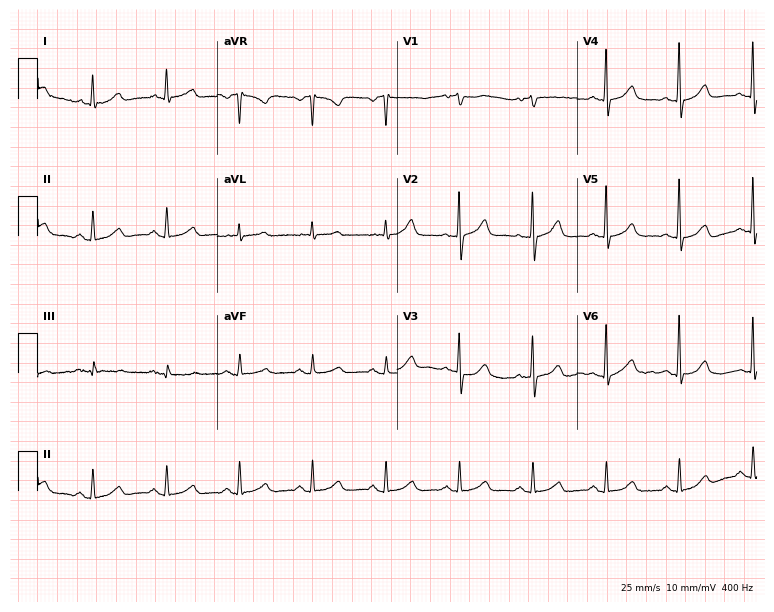
12-lead ECG (7.3-second recording at 400 Hz) from an 83-year-old female patient. Labelled as a normal ECG.